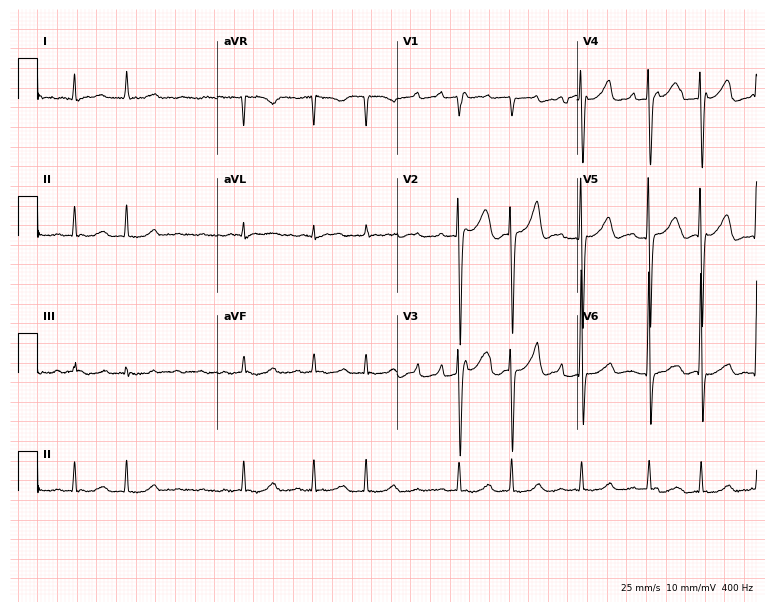
Standard 12-lead ECG recorded from a woman, 80 years old. None of these six findings is recorded: first-degree AV block, right bundle branch block, left bundle branch block, sinus bradycardia, atrial fibrillation, sinus tachycardia. Other findings, if any, are not listed.